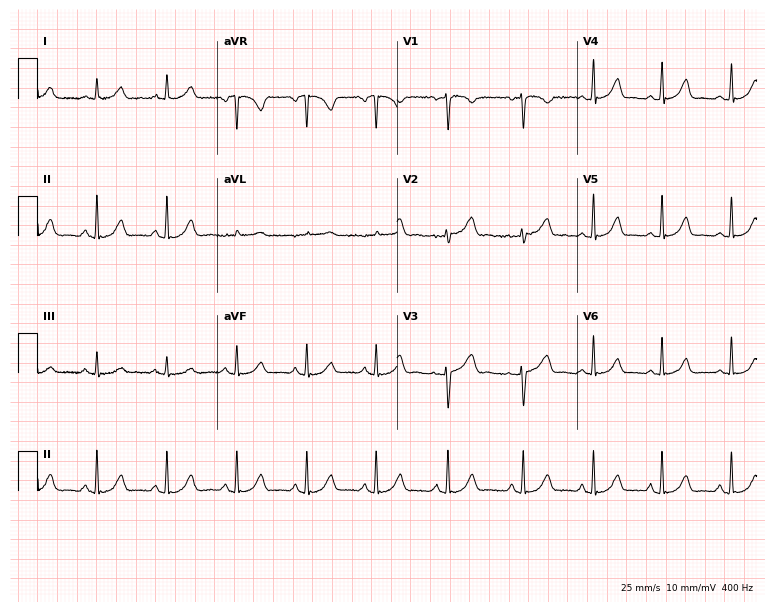
Resting 12-lead electrocardiogram (7.3-second recording at 400 Hz). Patient: a female, 48 years old. None of these six findings is recorded: first-degree AV block, right bundle branch block (RBBB), left bundle branch block (LBBB), sinus bradycardia, atrial fibrillation (AF), sinus tachycardia. Only these six findings were labelled.